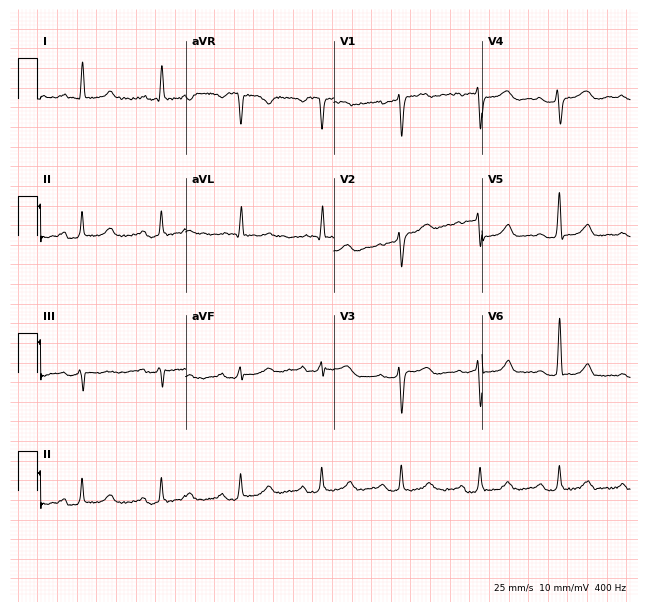
Standard 12-lead ECG recorded from a woman, 59 years old. None of these six findings is recorded: first-degree AV block, right bundle branch block (RBBB), left bundle branch block (LBBB), sinus bradycardia, atrial fibrillation (AF), sinus tachycardia. Only these six findings were labelled.